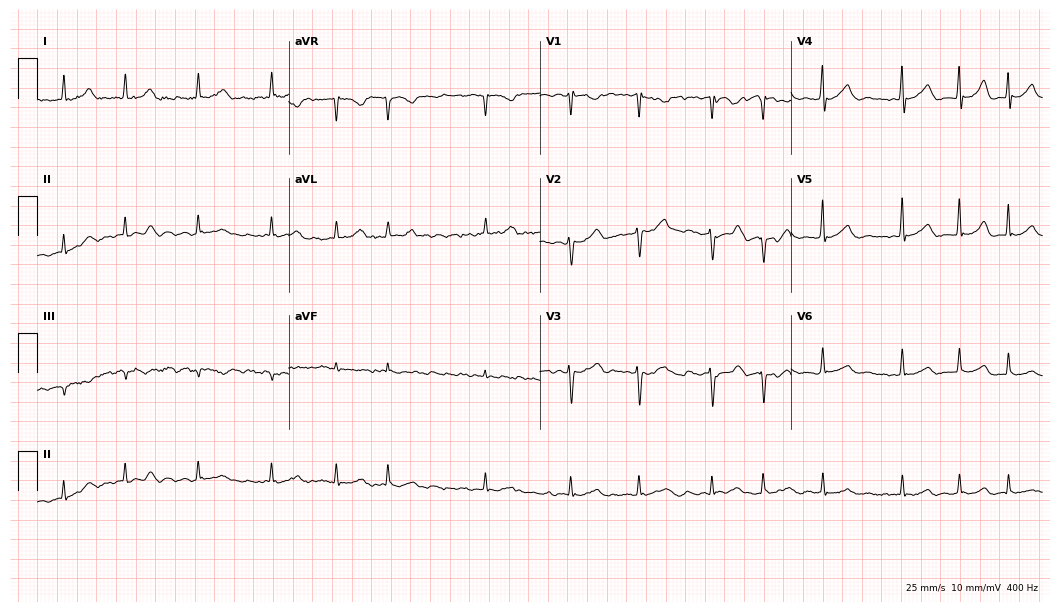
ECG (10.2-second recording at 400 Hz) — a woman, 72 years old. Findings include atrial fibrillation (AF).